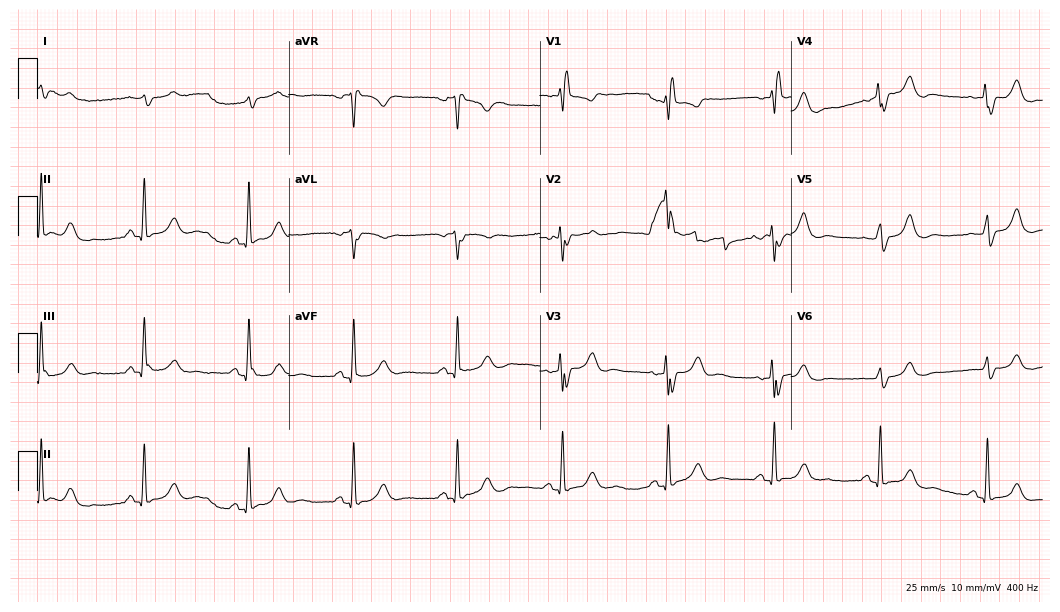
Standard 12-lead ECG recorded from an 85-year-old male. None of these six findings is recorded: first-degree AV block, right bundle branch block (RBBB), left bundle branch block (LBBB), sinus bradycardia, atrial fibrillation (AF), sinus tachycardia.